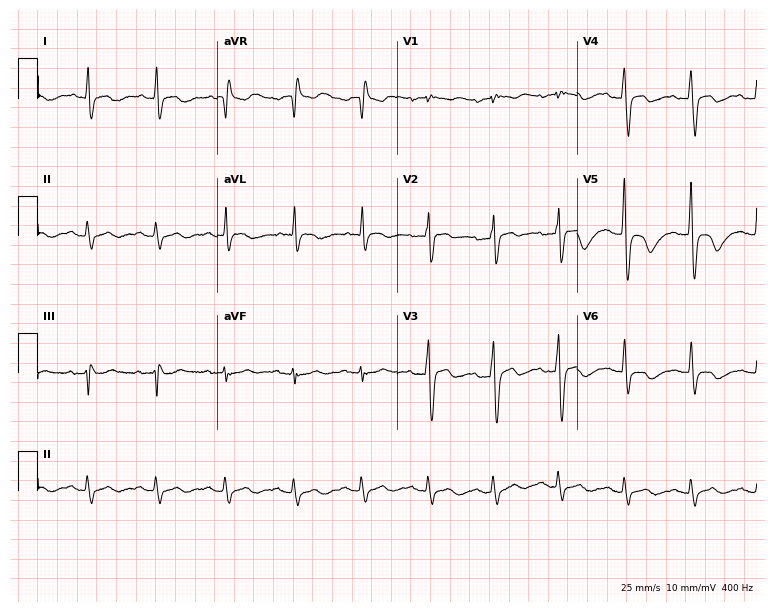
Resting 12-lead electrocardiogram (7.3-second recording at 400 Hz). Patient: a male, 52 years old. None of these six findings is recorded: first-degree AV block, right bundle branch block, left bundle branch block, sinus bradycardia, atrial fibrillation, sinus tachycardia.